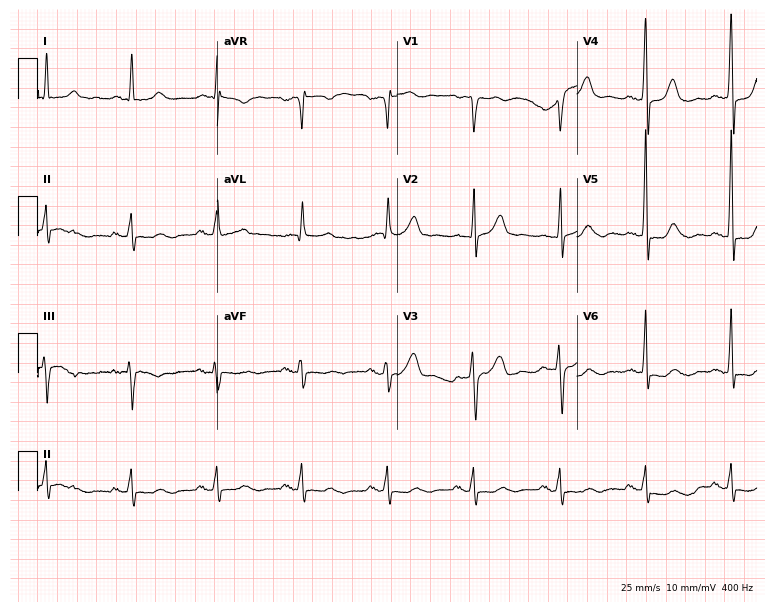
12-lead ECG from a 61-year-old male (7.3-second recording at 400 Hz). No first-degree AV block, right bundle branch block (RBBB), left bundle branch block (LBBB), sinus bradycardia, atrial fibrillation (AF) or sinus tachycardia recorded for this tracing. Only these six findings were labelled.